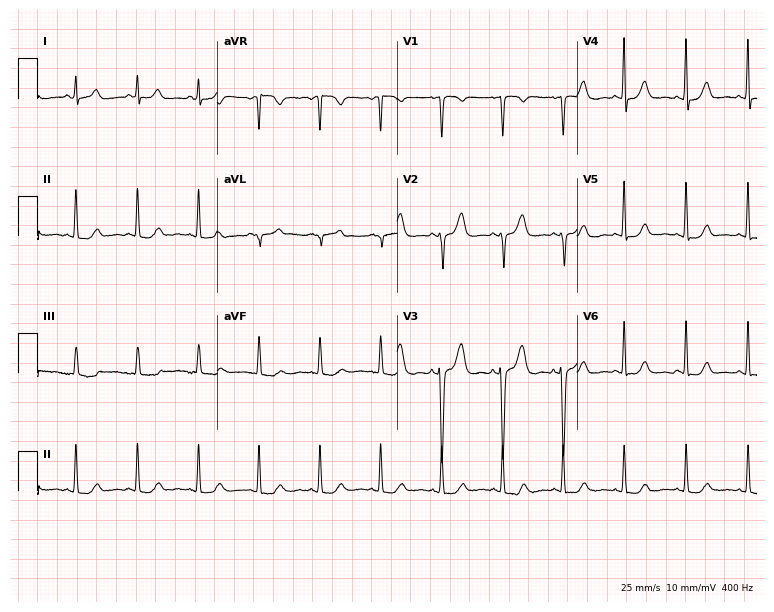
Standard 12-lead ECG recorded from a female, 46 years old (7.3-second recording at 400 Hz). None of these six findings is recorded: first-degree AV block, right bundle branch block (RBBB), left bundle branch block (LBBB), sinus bradycardia, atrial fibrillation (AF), sinus tachycardia. Only these six findings were labelled.